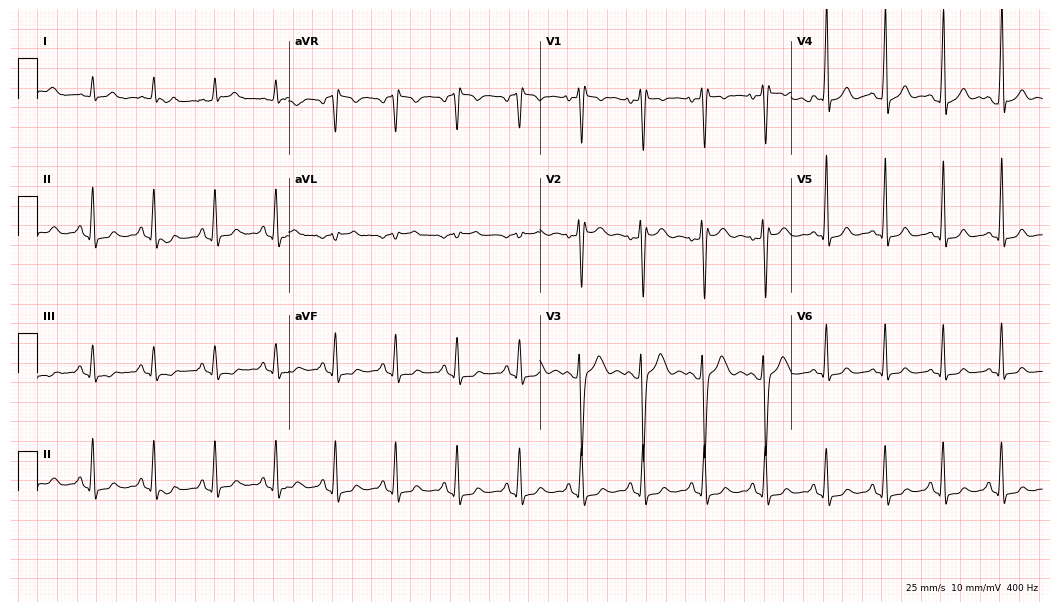
12-lead ECG from a male, 22 years old. Screened for six findings — first-degree AV block, right bundle branch block (RBBB), left bundle branch block (LBBB), sinus bradycardia, atrial fibrillation (AF), sinus tachycardia — none is recorded.